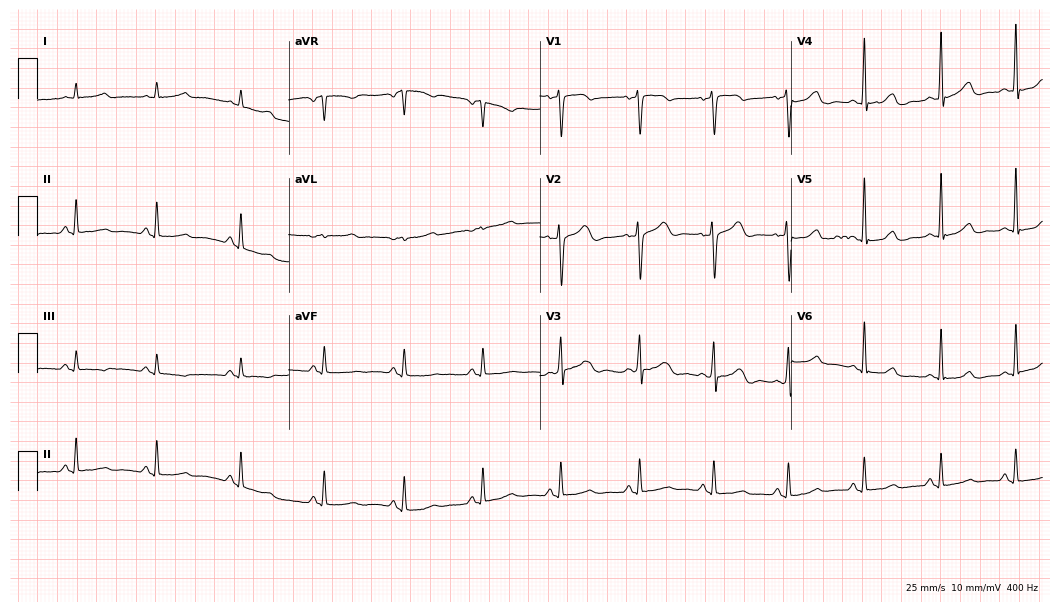
Standard 12-lead ECG recorded from a woman, 50 years old. None of these six findings is recorded: first-degree AV block, right bundle branch block, left bundle branch block, sinus bradycardia, atrial fibrillation, sinus tachycardia. Only these six findings were labelled.